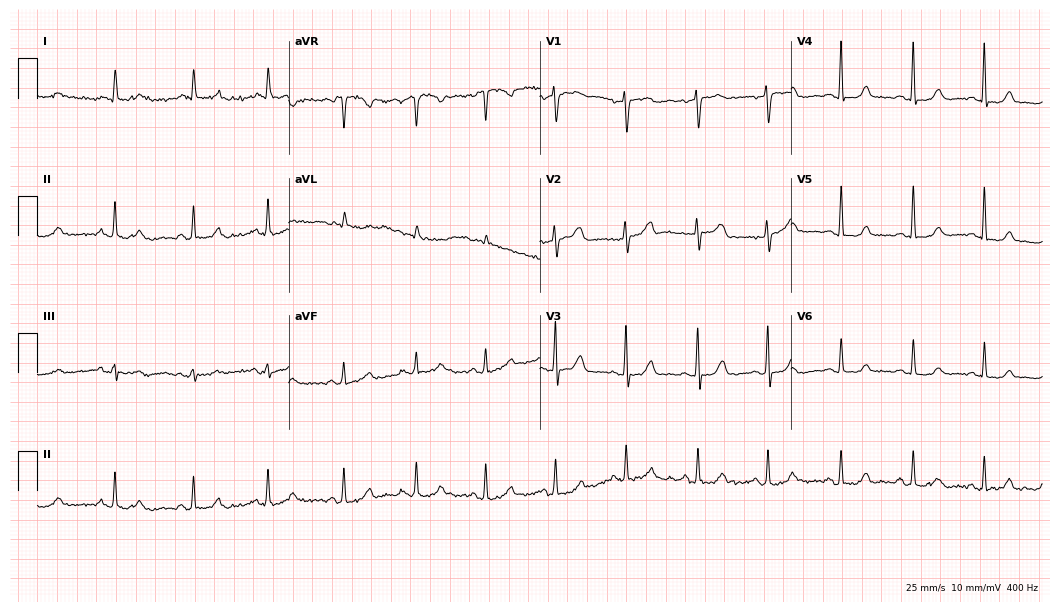
Electrocardiogram, a female, 72 years old. Overall reading on record: normal ECG.